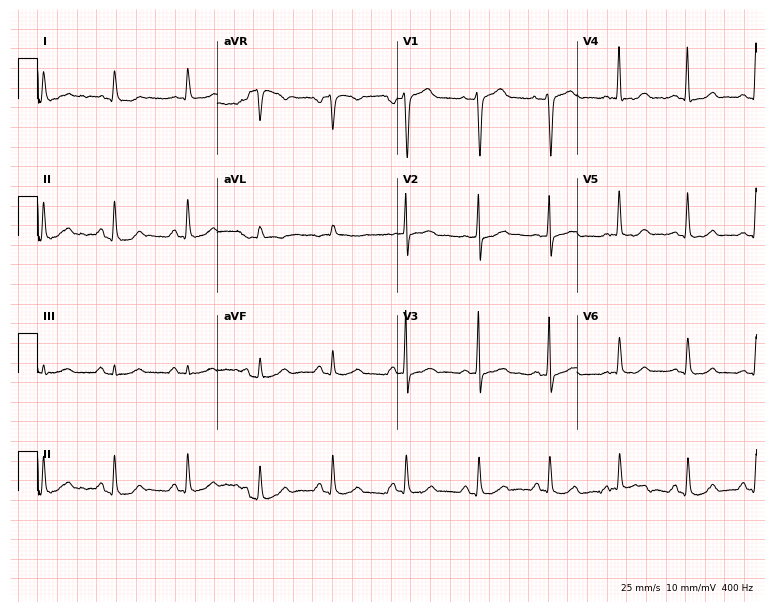
Resting 12-lead electrocardiogram. Patient: a male, 69 years old. None of these six findings is recorded: first-degree AV block, right bundle branch block, left bundle branch block, sinus bradycardia, atrial fibrillation, sinus tachycardia.